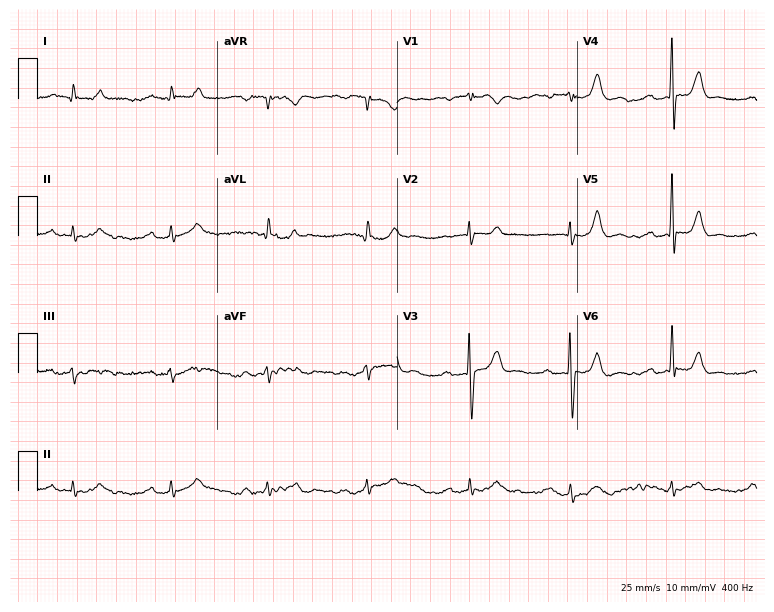
ECG (7.3-second recording at 400 Hz) — a 76-year-old man. Labelled as a normal ECG.